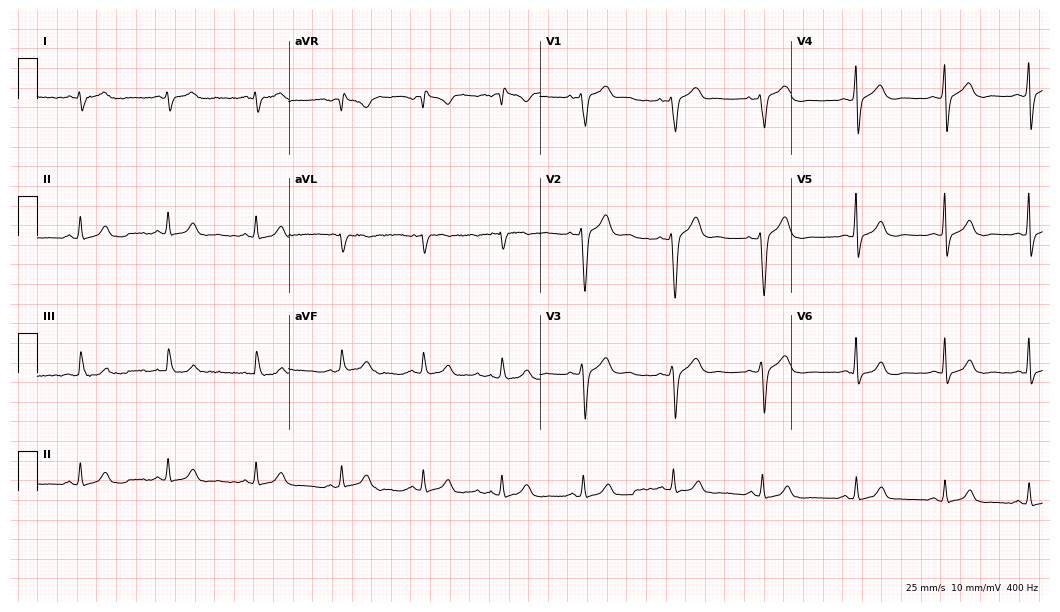
12-lead ECG from a 20-year-old man (10.2-second recording at 400 Hz). No first-degree AV block, right bundle branch block, left bundle branch block, sinus bradycardia, atrial fibrillation or sinus tachycardia recorded for this tracing.